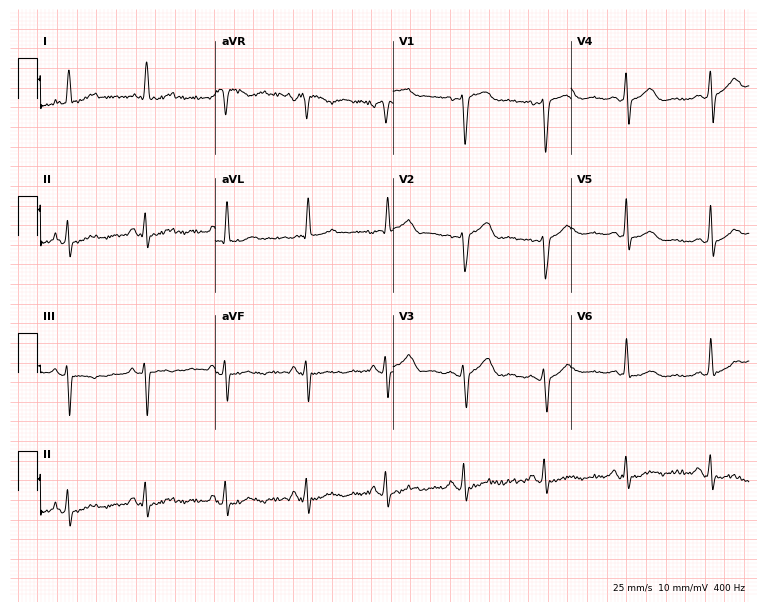
ECG (7.3-second recording at 400 Hz) — a female patient, 71 years old. Screened for six findings — first-degree AV block, right bundle branch block, left bundle branch block, sinus bradycardia, atrial fibrillation, sinus tachycardia — none is recorded. Other findings, if any, are not listed.